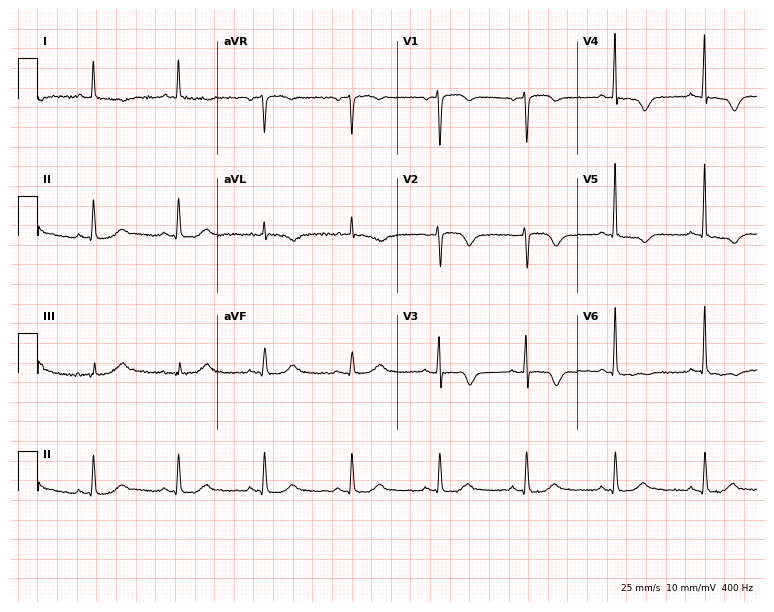
ECG (7.3-second recording at 400 Hz) — an 81-year-old male. Screened for six findings — first-degree AV block, right bundle branch block, left bundle branch block, sinus bradycardia, atrial fibrillation, sinus tachycardia — none is recorded.